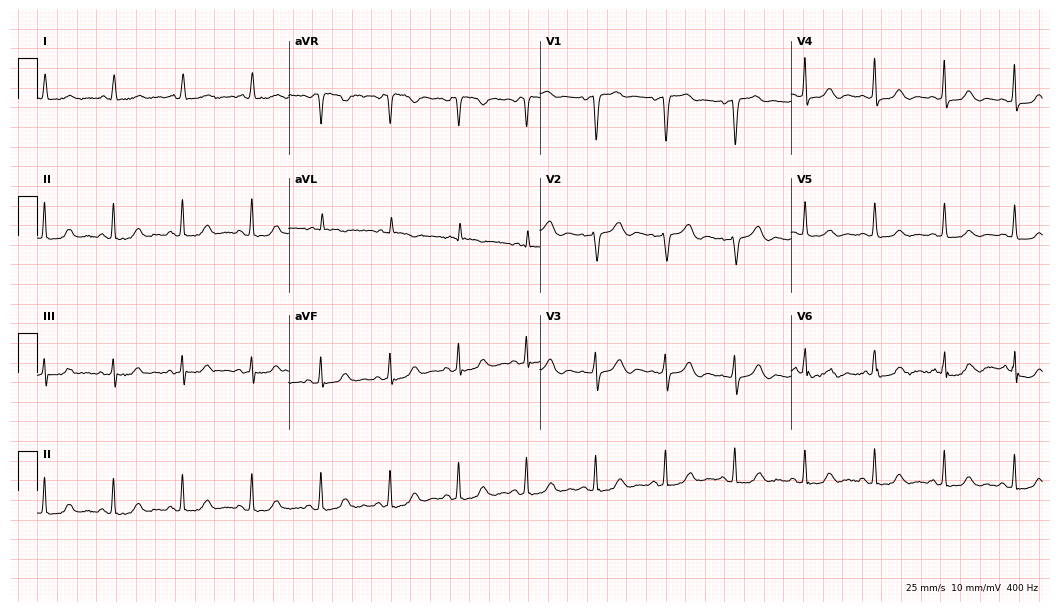
Resting 12-lead electrocardiogram. Patient: a 77-year-old female. Read as a normal ECG.